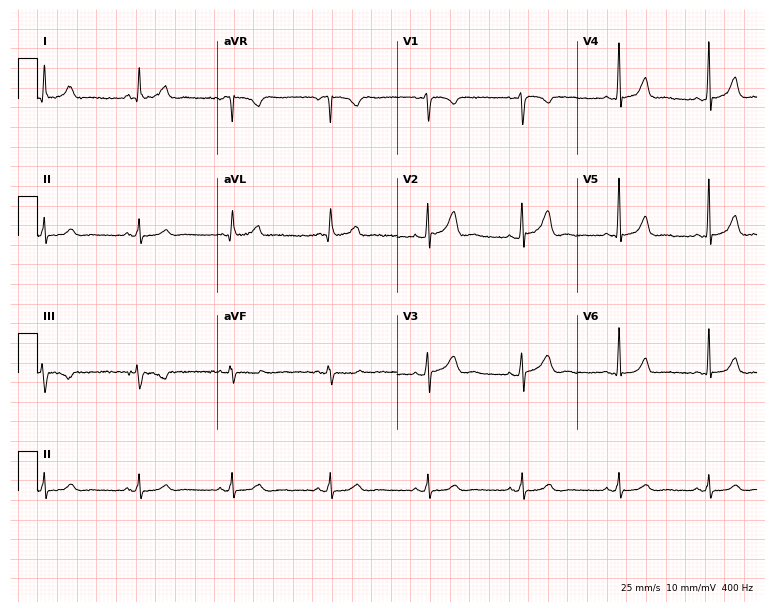
Electrocardiogram (7.3-second recording at 400 Hz), a 35-year-old female patient. Overall reading on record: normal ECG.